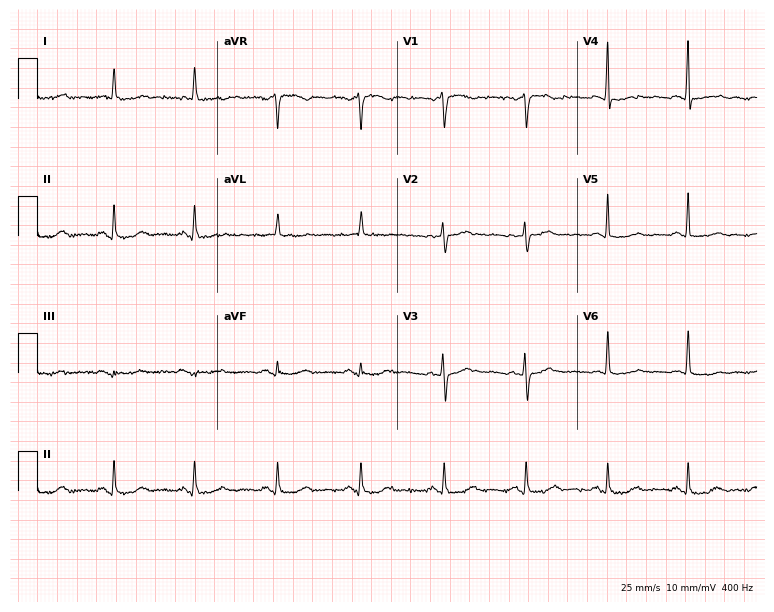
Electrocardiogram, a woman, 85 years old. Of the six screened findings (first-degree AV block, right bundle branch block, left bundle branch block, sinus bradycardia, atrial fibrillation, sinus tachycardia), none is recorded. Only these six findings were labelled.